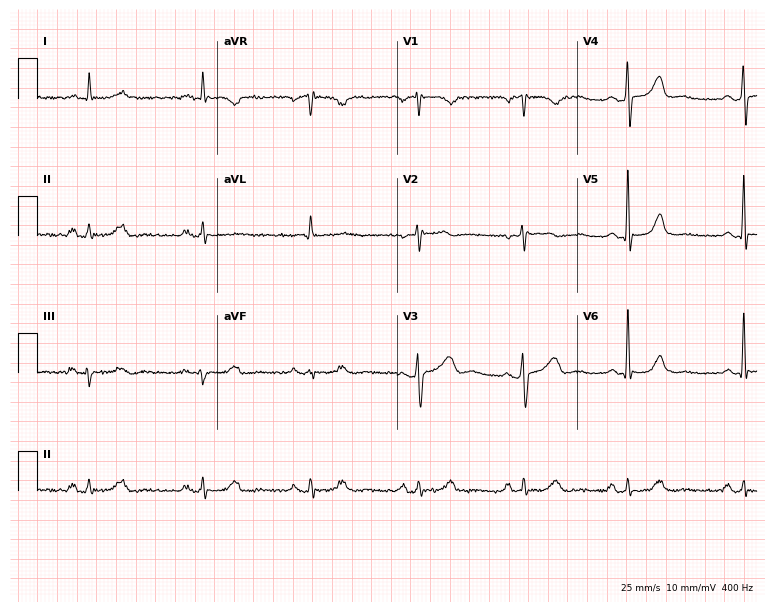
ECG (7.3-second recording at 400 Hz) — a 57-year-old female. Screened for six findings — first-degree AV block, right bundle branch block (RBBB), left bundle branch block (LBBB), sinus bradycardia, atrial fibrillation (AF), sinus tachycardia — none is recorded. Findings outside these six are not listed.